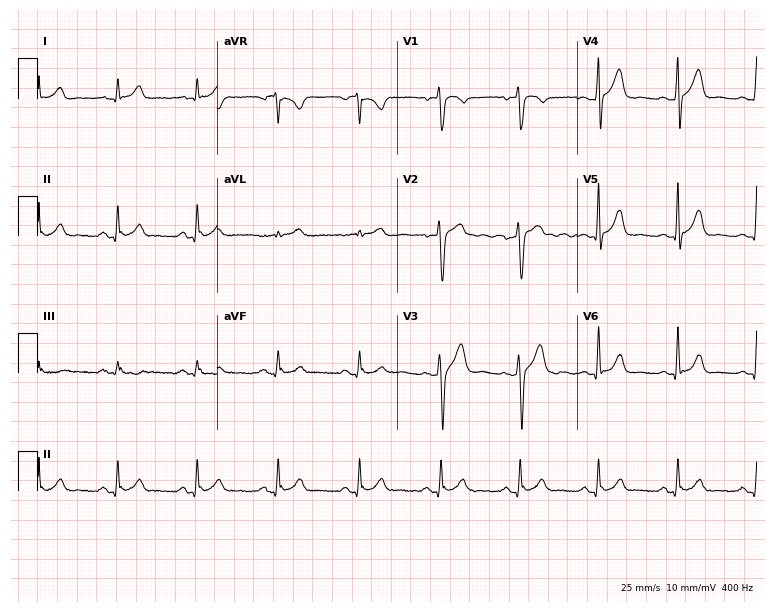
Resting 12-lead electrocardiogram (7.3-second recording at 400 Hz). Patient: a male, 42 years old. None of these six findings is recorded: first-degree AV block, right bundle branch block, left bundle branch block, sinus bradycardia, atrial fibrillation, sinus tachycardia.